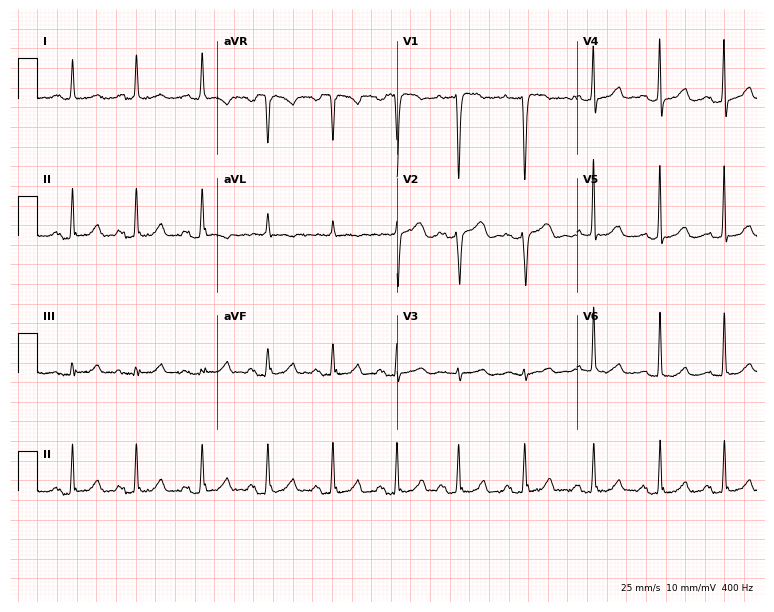
Standard 12-lead ECG recorded from a 52-year-old woman. Read as a normal ECG.